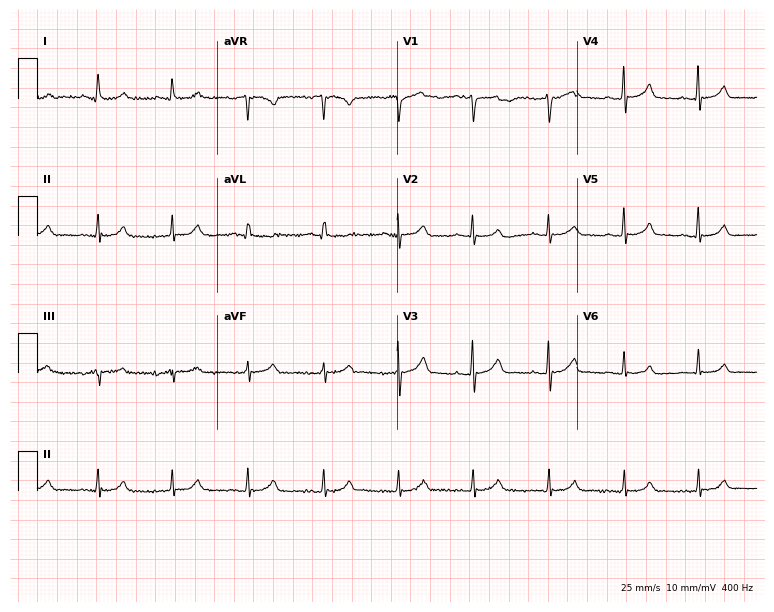
12-lead ECG (7.3-second recording at 400 Hz) from a 58-year-old male patient. Labelled as a normal ECG.